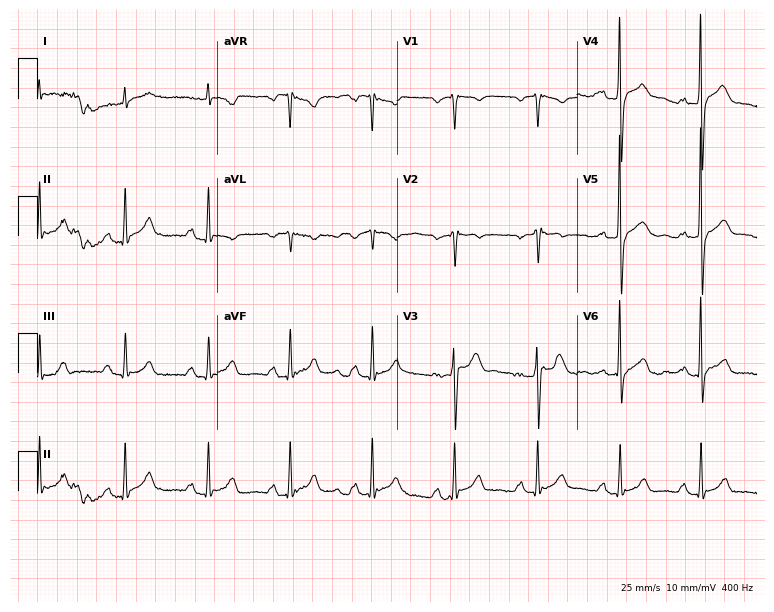
ECG — a 52-year-old male patient. Labelled as a normal ECG.